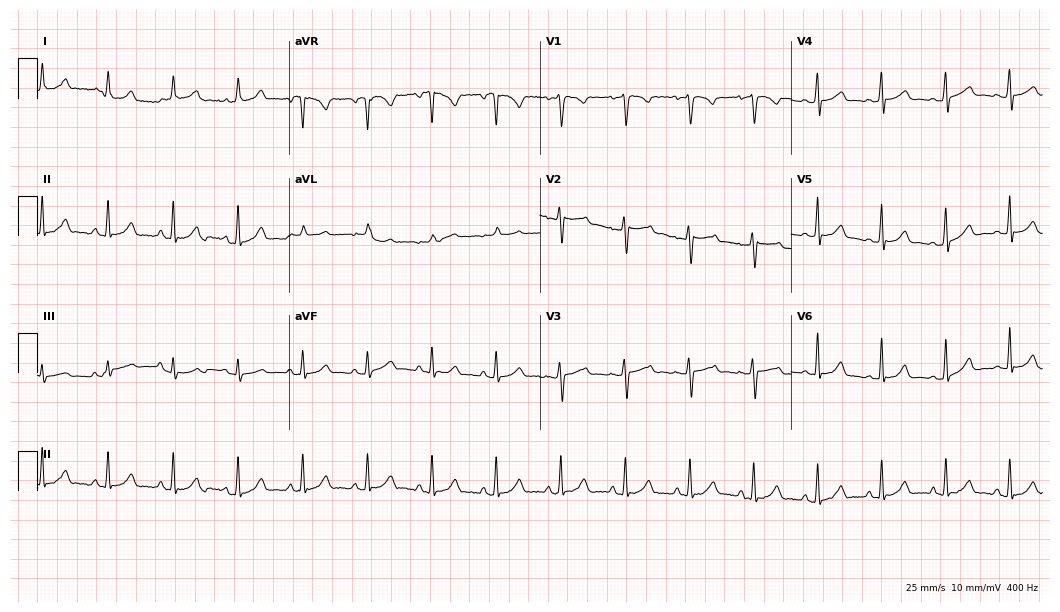
Standard 12-lead ECG recorded from a 27-year-old female patient (10.2-second recording at 400 Hz). Read as a normal ECG.